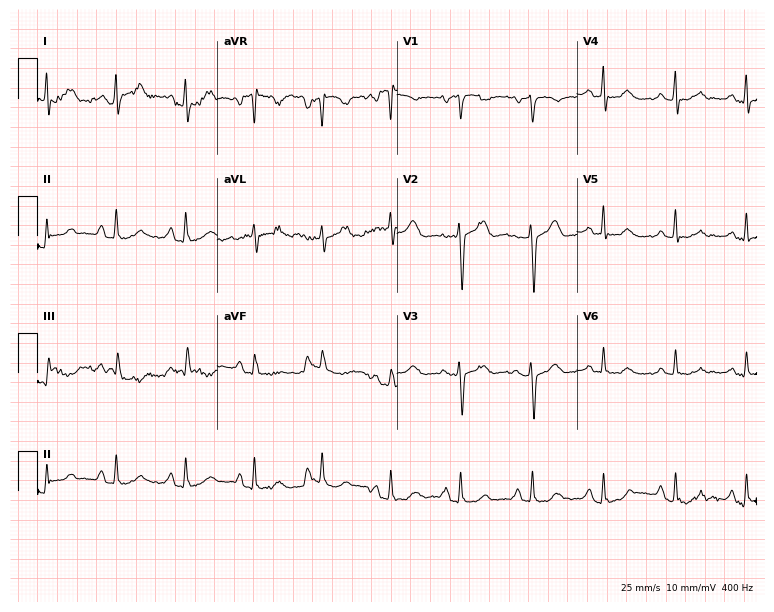
Electrocardiogram (7.3-second recording at 400 Hz), a 66-year-old woman. Of the six screened findings (first-degree AV block, right bundle branch block, left bundle branch block, sinus bradycardia, atrial fibrillation, sinus tachycardia), none is recorded. Findings outside these six are not listed.